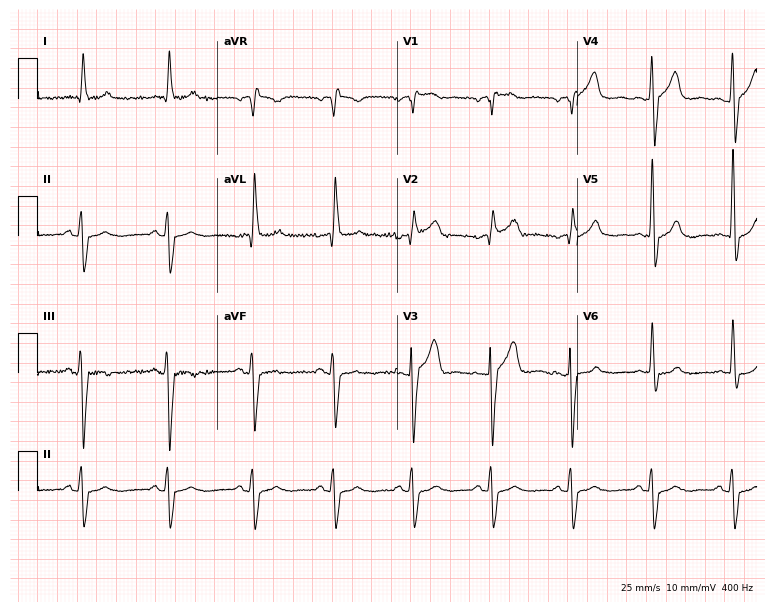
Standard 12-lead ECG recorded from a 72-year-old male patient (7.3-second recording at 400 Hz). None of these six findings is recorded: first-degree AV block, right bundle branch block (RBBB), left bundle branch block (LBBB), sinus bradycardia, atrial fibrillation (AF), sinus tachycardia. Only these six findings were labelled.